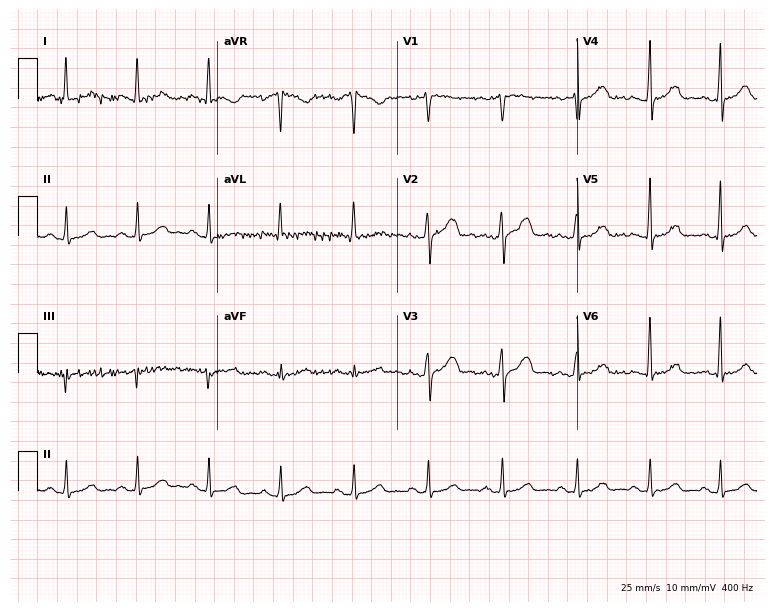
12-lead ECG from a female patient, 56 years old. Labelled as a normal ECG.